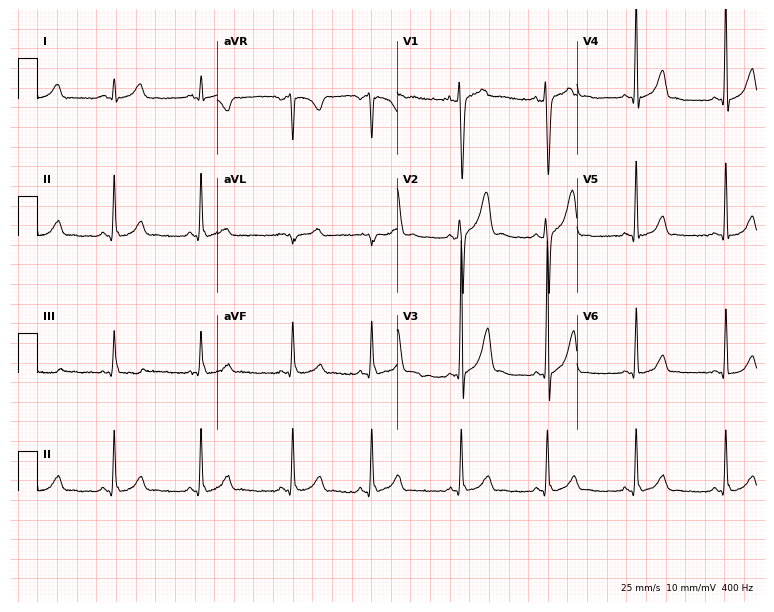
Electrocardiogram, an 18-year-old male patient. Of the six screened findings (first-degree AV block, right bundle branch block, left bundle branch block, sinus bradycardia, atrial fibrillation, sinus tachycardia), none is recorded. Only these six findings were labelled.